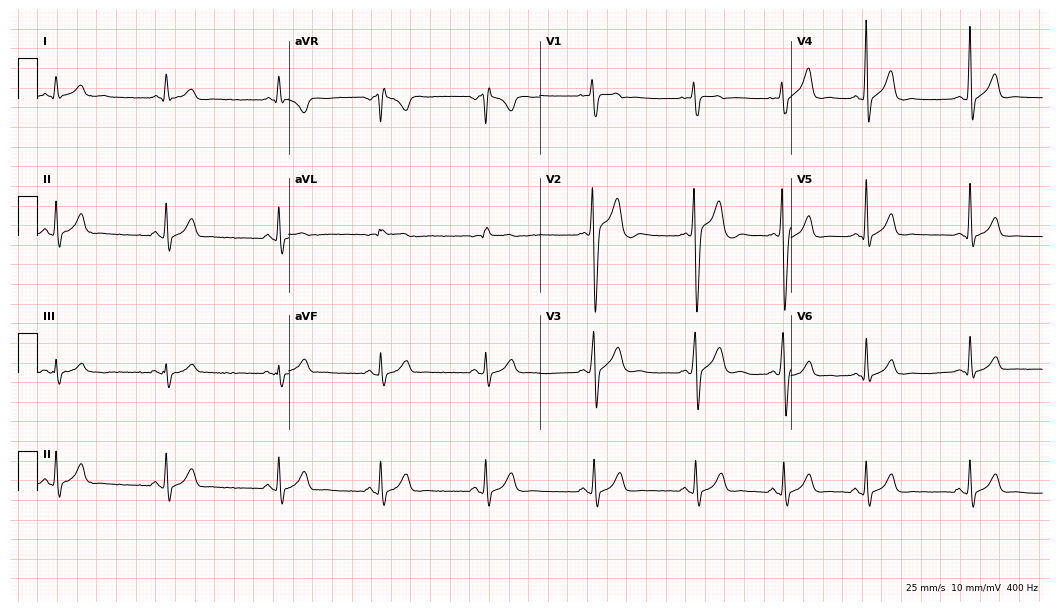
12-lead ECG from a male, 19 years old. Recorded interpretation: within normal limits.